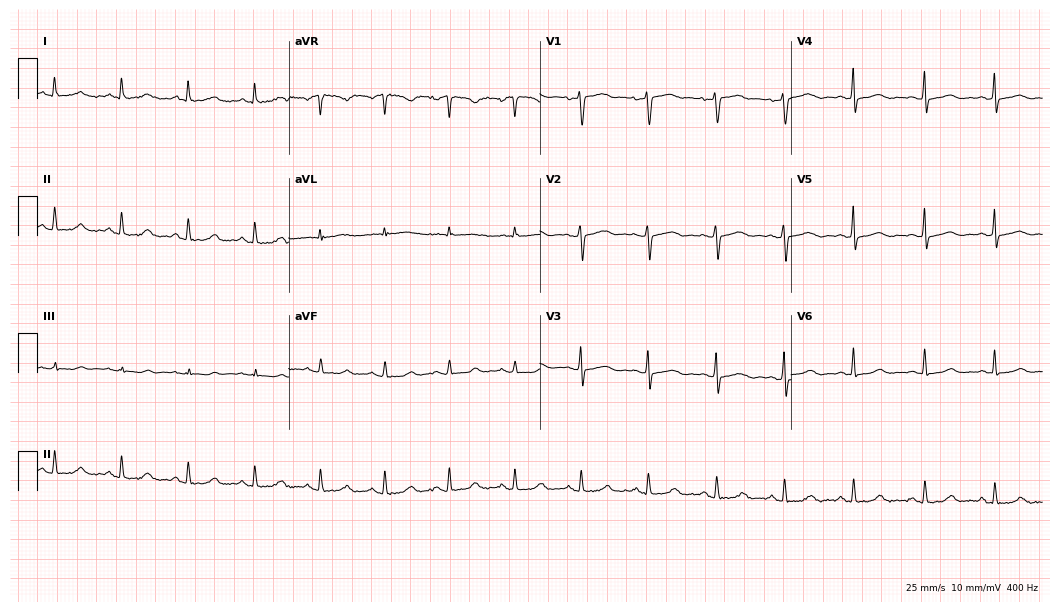
12-lead ECG from a female, 52 years old. Recorded interpretation: within normal limits.